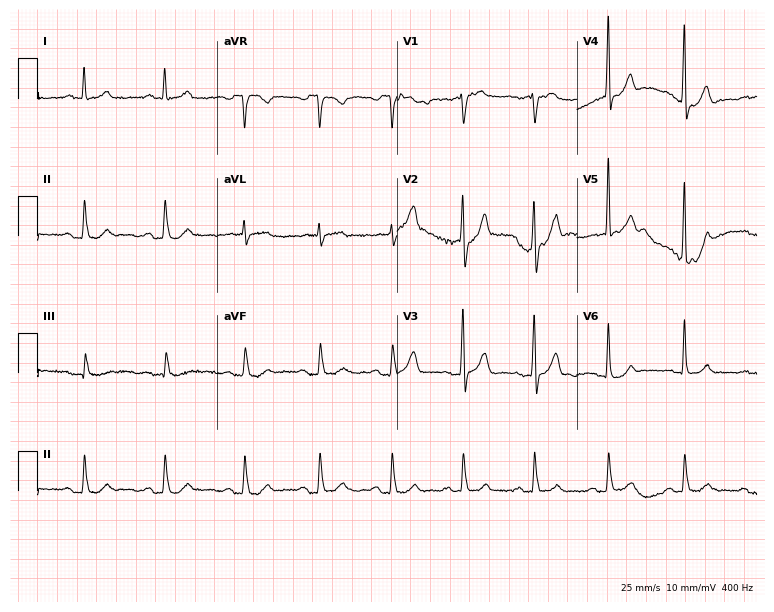
ECG — a 70-year-old man. Labelled as a normal ECG.